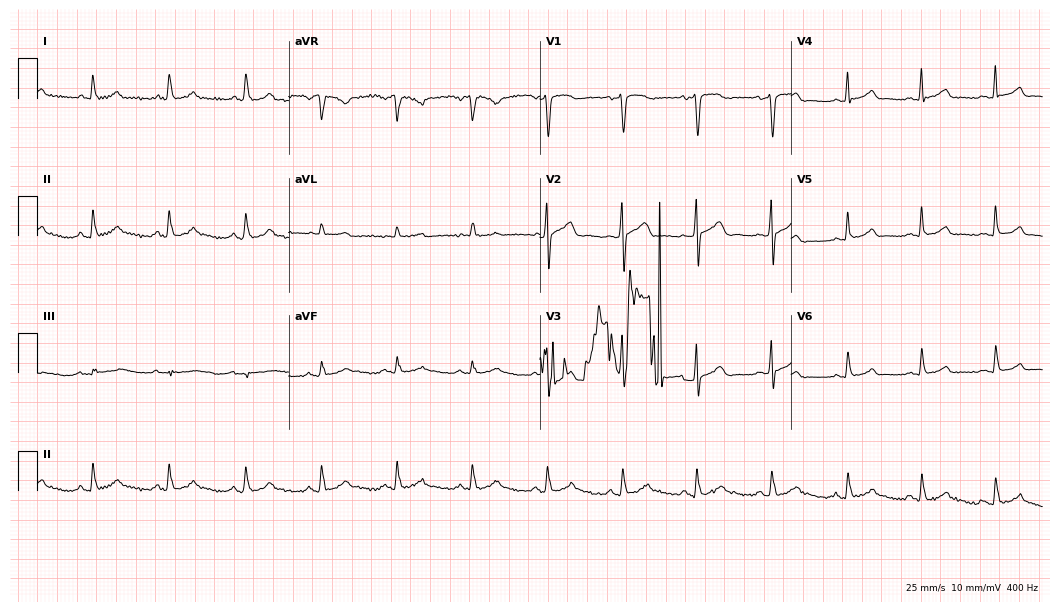
12-lead ECG (10.2-second recording at 400 Hz) from a 53-year-old male. Labelled as a normal ECG.